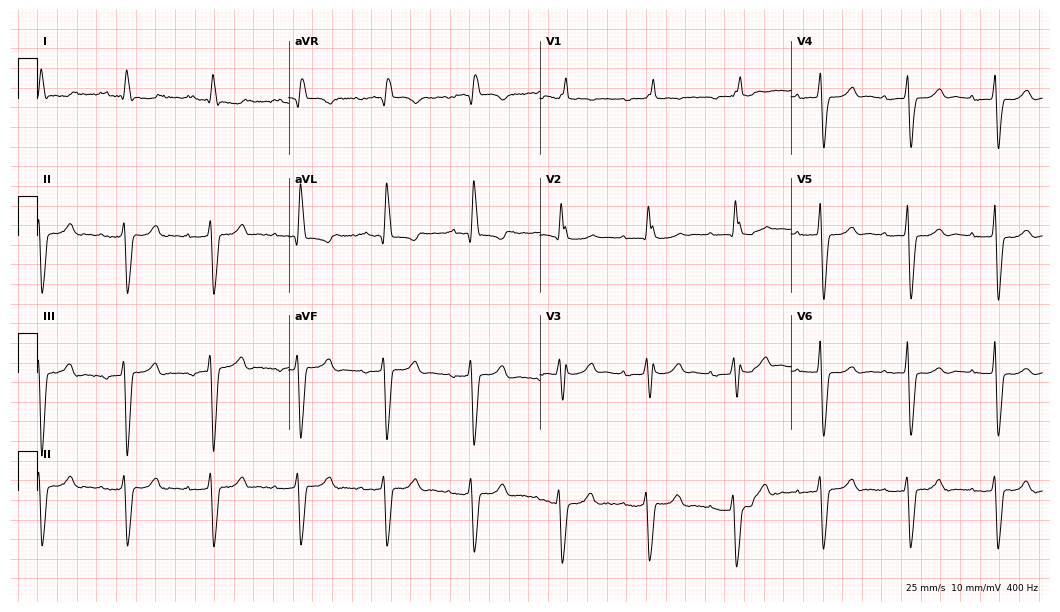
12-lead ECG from a male patient, 84 years old. Shows right bundle branch block (RBBB).